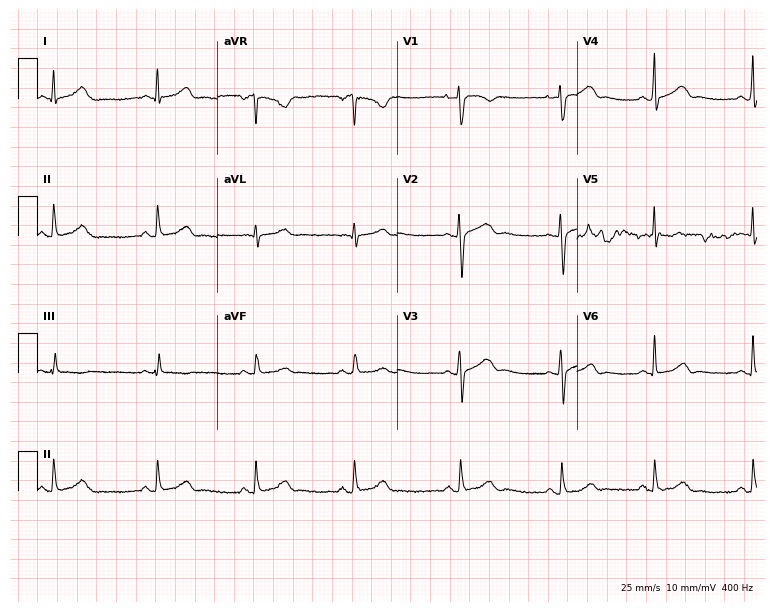
ECG — a 31-year-old female patient. Labelled as a normal ECG.